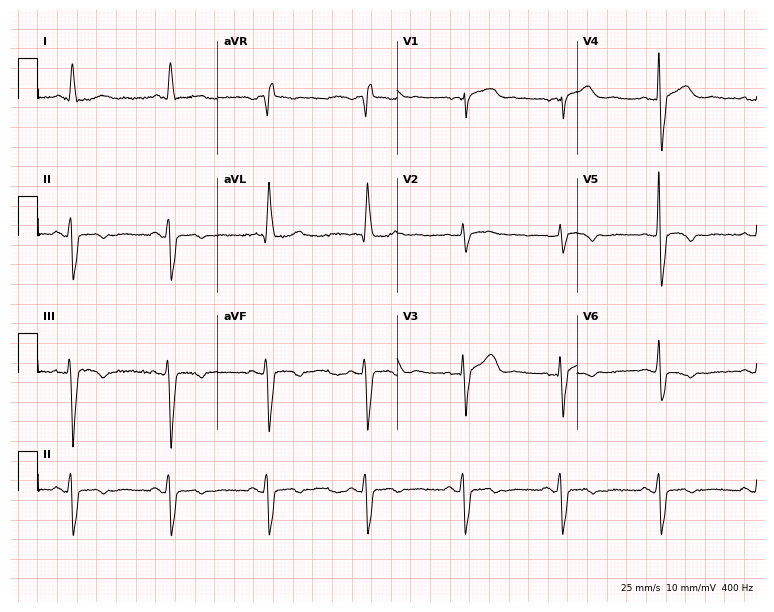
ECG (7.3-second recording at 400 Hz) — a female, 82 years old. Screened for six findings — first-degree AV block, right bundle branch block, left bundle branch block, sinus bradycardia, atrial fibrillation, sinus tachycardia — none is recorded.